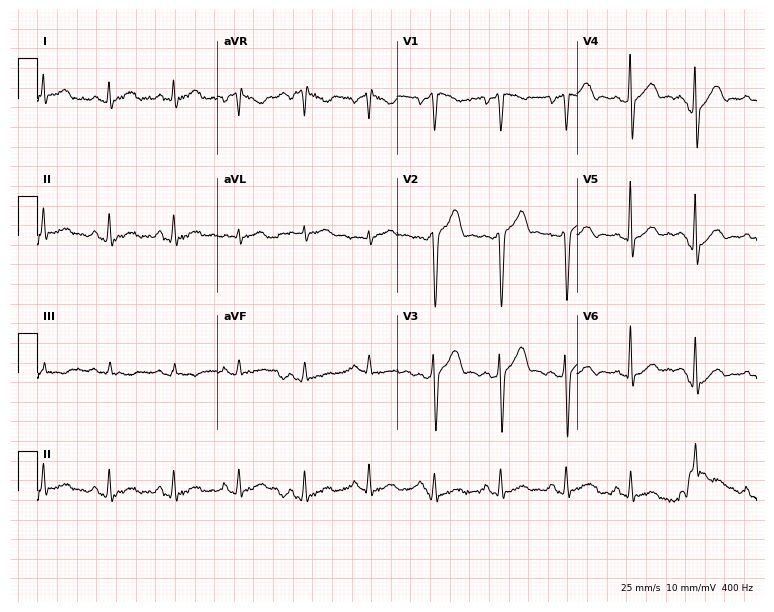
Electrocardiogram (7.3-second recording at 400 Hz), a male patient, 47 years old. Overall reading on record: normal ECG.